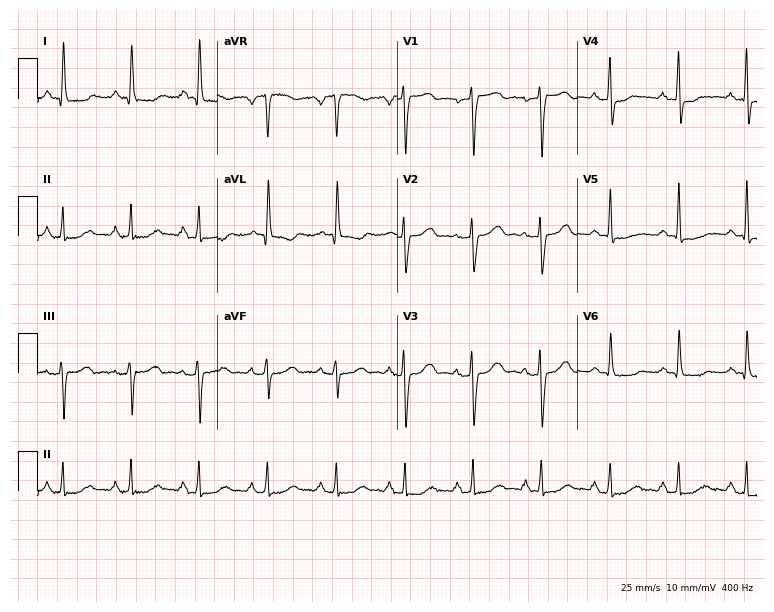
Standard 12-lead ECG recorded from a 74-year-old female (7.3-second recording at 400 Hz). None of these six findings is recorded: first-degree AV block, right bundle branch block (RBBB), left bundle branch block (LBBB), sinus bradycardia, atrial fibrillation (AF), sinus tachycardia. Other findings, if any, are not listed.